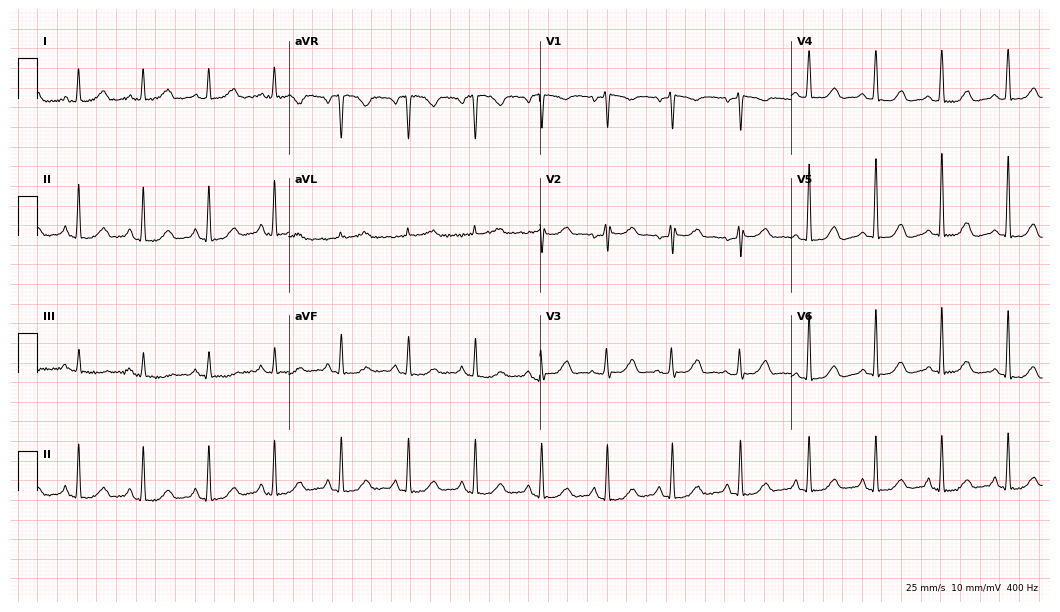
Resting 12-lead electrocardiogram. Patient: a 57-year-old female. None of these six findings is recorded: first-degree AV block, right bundle branch block (RBBB), left bundle branch block (LBBB), sinus bradycardia, atrial fibrillation (AF), sinus tachycardia.